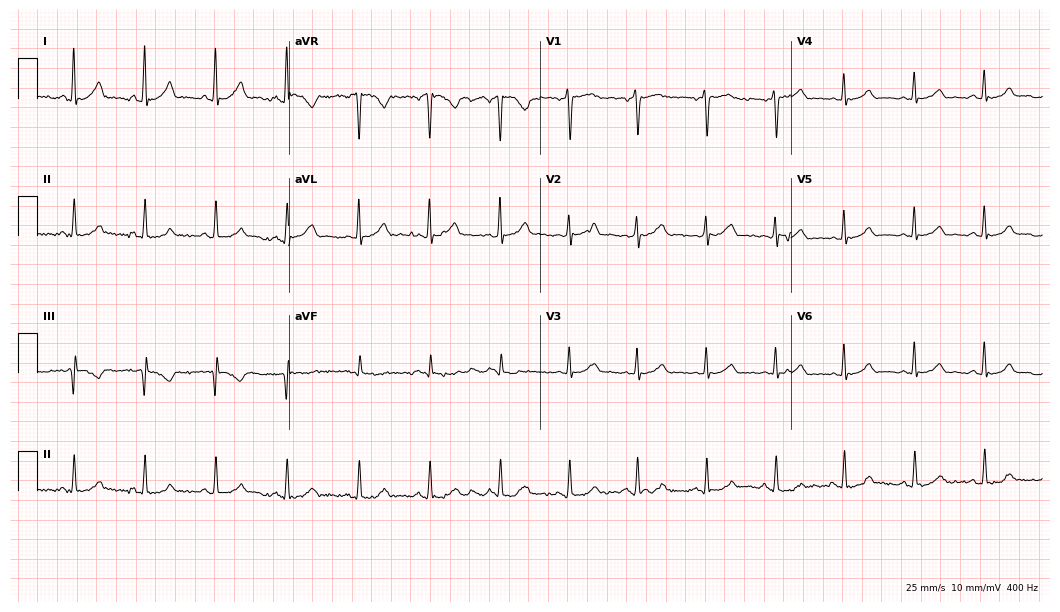
12-lead ECG from a man, 36 years old. Recorded interpretation: within normal limits.